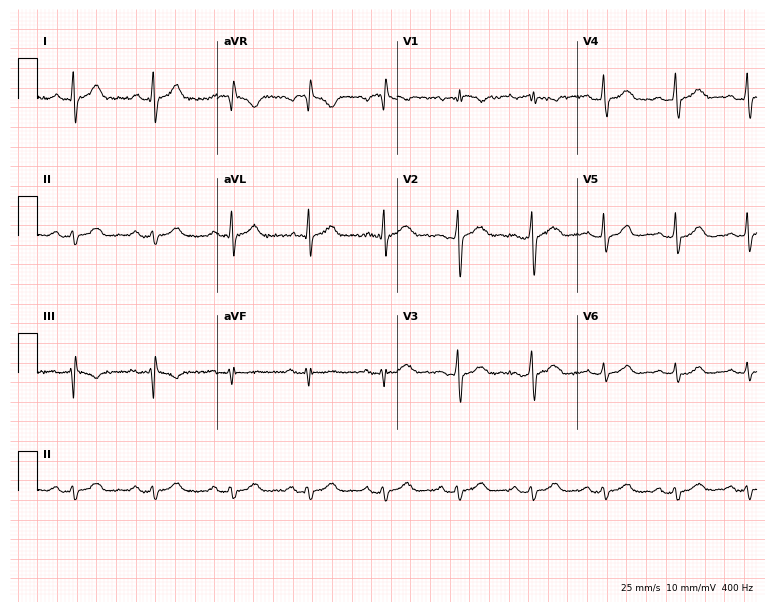
Resting 12-lead electrocardiogram. Patient: a male, 46 years old. None of these six findings is recorded: first-degree AV block, right bundle branch block, left bundle branch block, sinus bradycardia, atrial fibrillation, sinus tachycardia. Other findings, if any, are not listed.